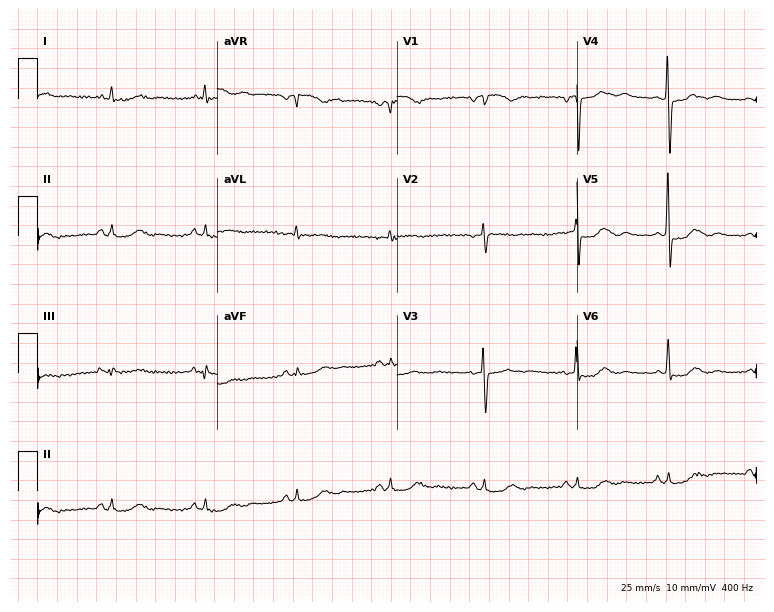
Resting 12-lead electrocardiogram (7.3-second recording at 400 Hz). Patient: a 77-year-old female. None of these six findings is recorded: first-degree AV block, right bundle branch block, left bundle branch block, sinus bradycardia, atrial fibrillation, sinus tachycardia. Only these six findings were labelled.